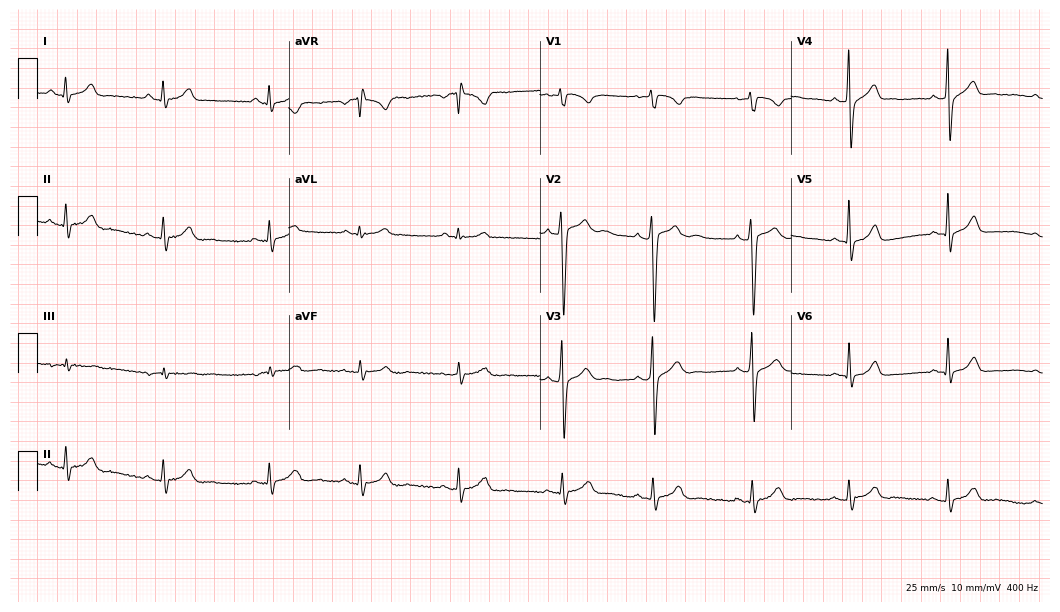
Electrocardiogram (10.2-second recording at 400 Hz), a 17-year-old male. Overall reading on record: normal ECG.